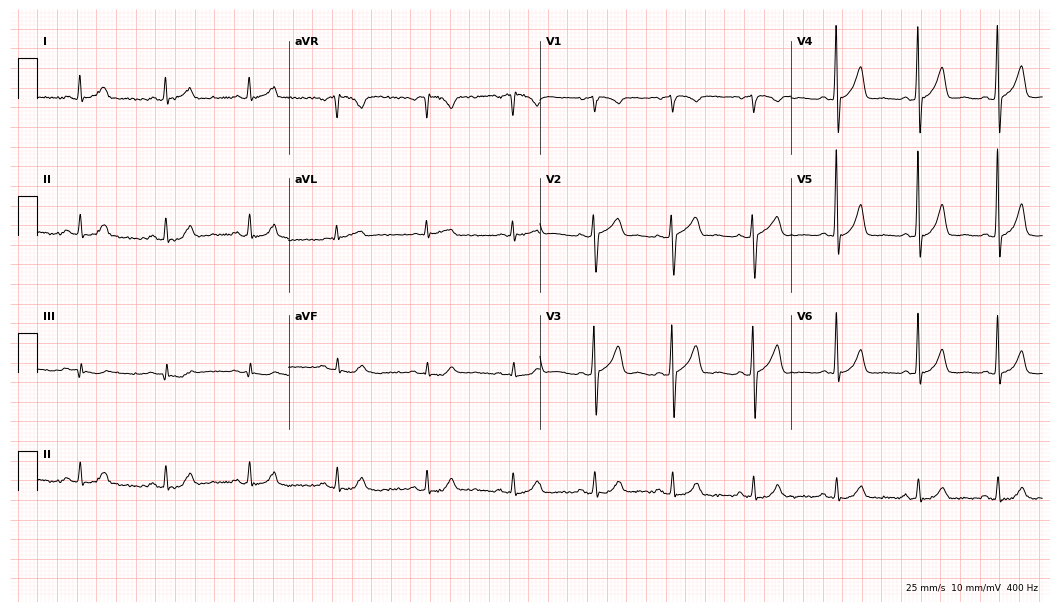
Electrocardiogram, a 74-year-old female patient. Overall reading on record: normal ECG.